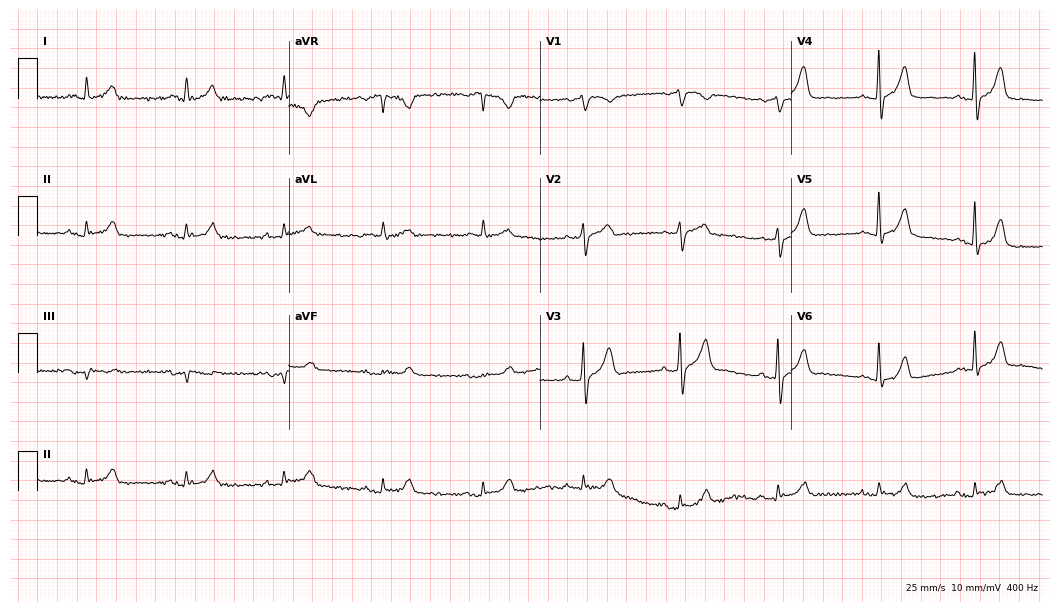
Standard 12-lead ECG recorded from a man, 80 years old. None of these six findings is recorded: first-degree AV block, right bundle branch block, left bundle branch block, sinus bradycardia, atrial fibrillation, sinus tachycardia. Other findings, if any, are not listed.